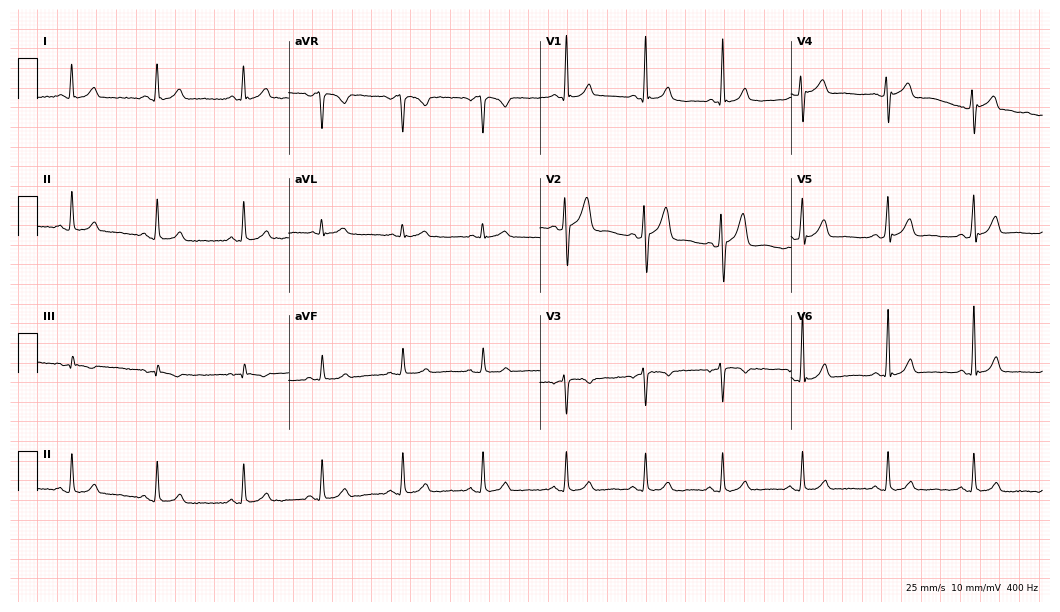
12-lead ECG from a 27-year-old male patient (10.2-second recording at 400 Hz). No first-degree AV block, right bundle branch block (RBBB), left bundle branch block (LBBB), sinus bradycardia, atrial fibrillation (AF) or sinus tachycardia recorded for this tracing.